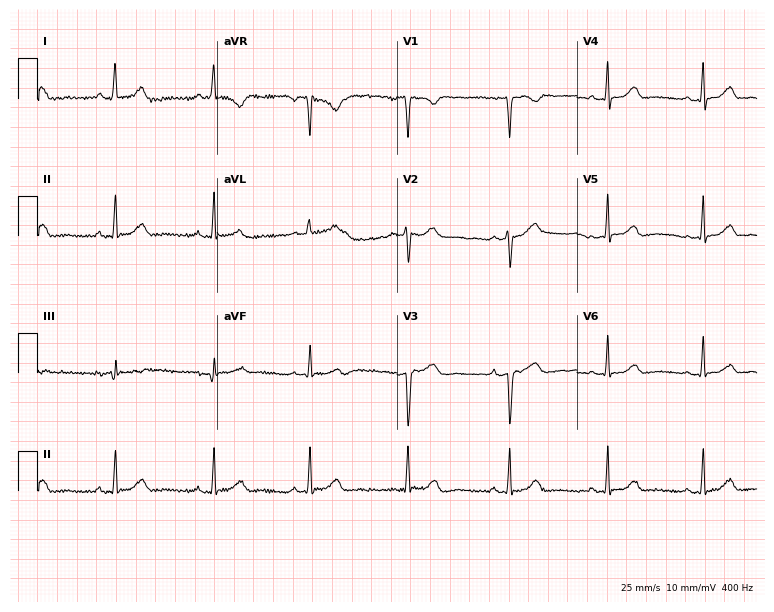
Electrocardiogram (7.3-second recording at 400 Hz), a 47-year-old female. Overall reading on record: normal ECG.